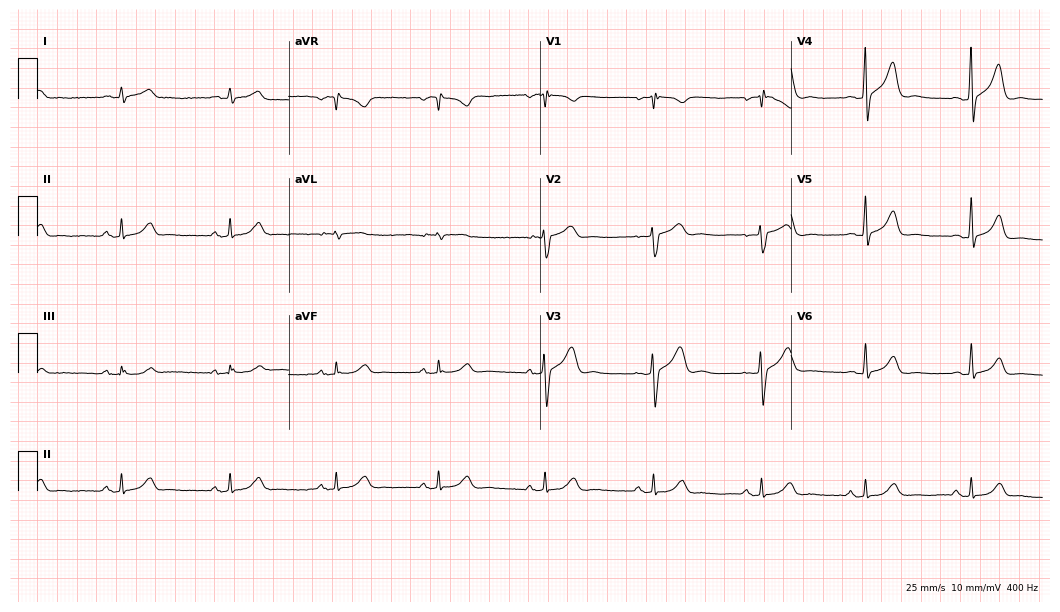
Standard 12-lead ECG recorded from a man, 46 years old. Read as a normal ECG.